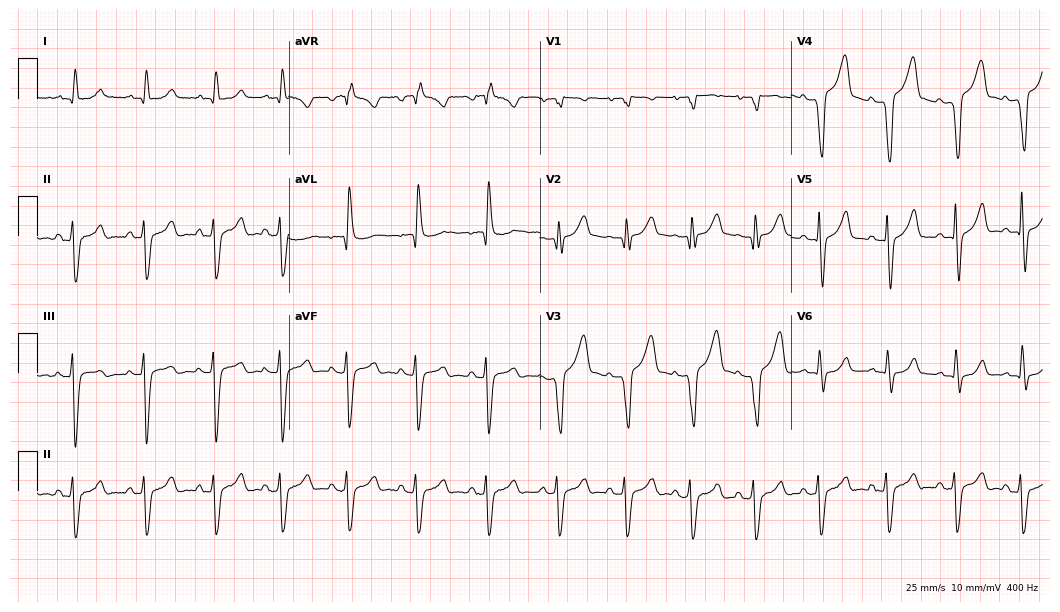
ECG (10.2-second recording at 400 Hz) — a male, 17 years old. Screened for six findings — first-degree AV block, right bundle branch block (RBBB), left bundle branch block (LBBB), sinus bradycardia, atrial fibrillation (AF), sinus tachycardia — none is recorded.